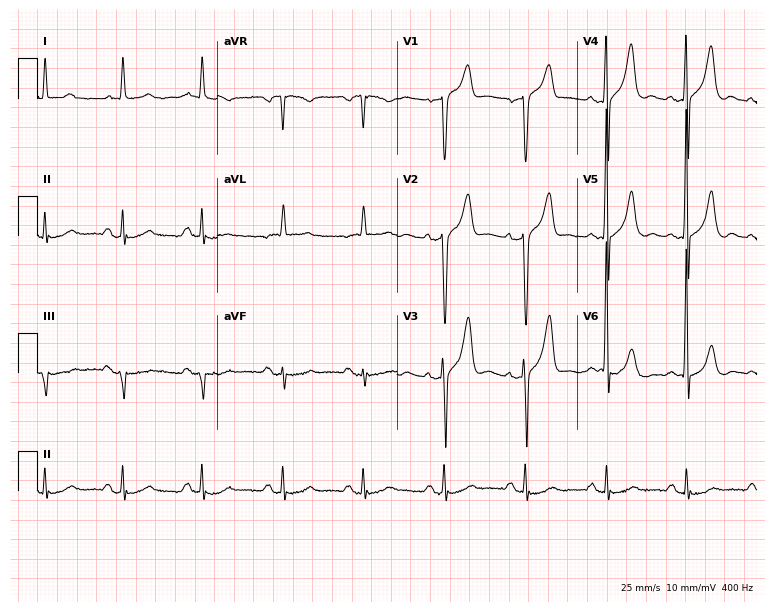
Electrocardiogram, a 63-year-old male. Of the six screened findings (first-degree AV block, right bundle branch block, left bundle branch block, sinus bradycardia, atrial fibrillation, sinus tachycardia), none is recorded. Findings outside these six are not listed.